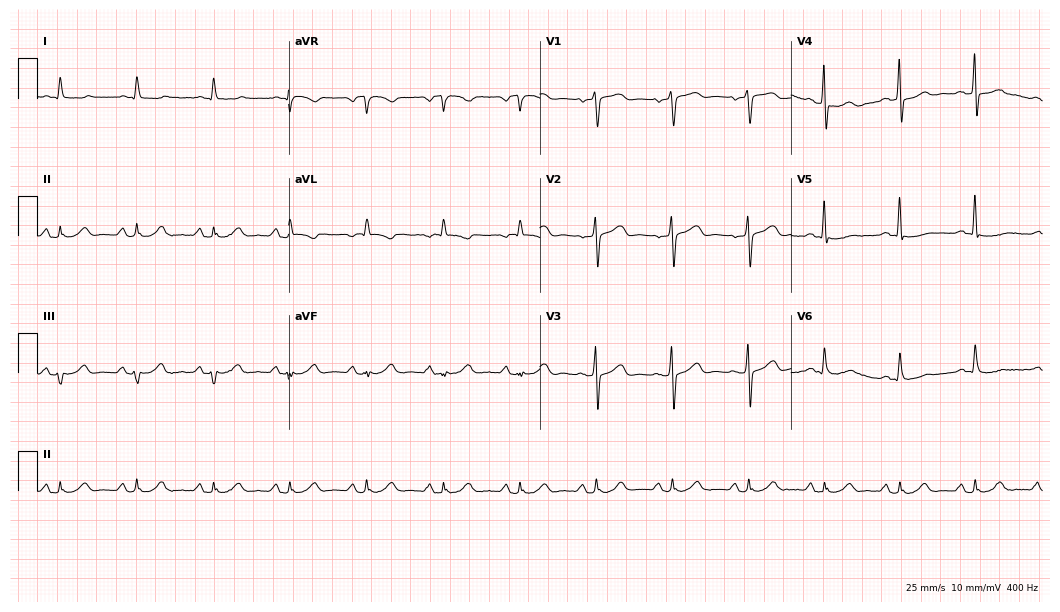
12-lead ECG from a male patient, 82 years old (10.2-second recording at 400 Hz). No first-degree AV block, right bundle branch block (RBBB), left bundle branch block (LBBB), sinus bradycardia, atrial fibrillation (AF) or sinus tachycardia recorded for this tracing. Other findings, if any, are not listed.